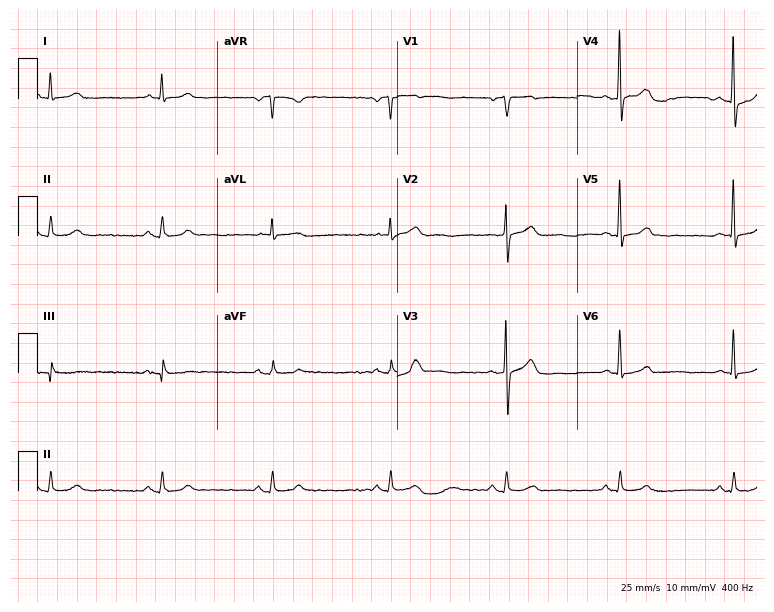
12-lead ECG from a male patient, 57 years old. Labelled as a normal ECG.